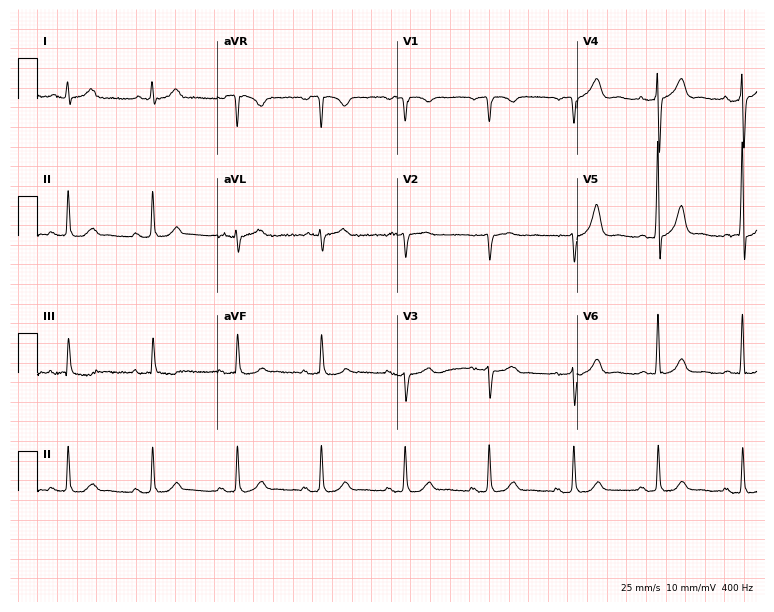
Resting 12-lead electrocardiogram. Patient: a 64-year-old male. Read as a normal ECG.